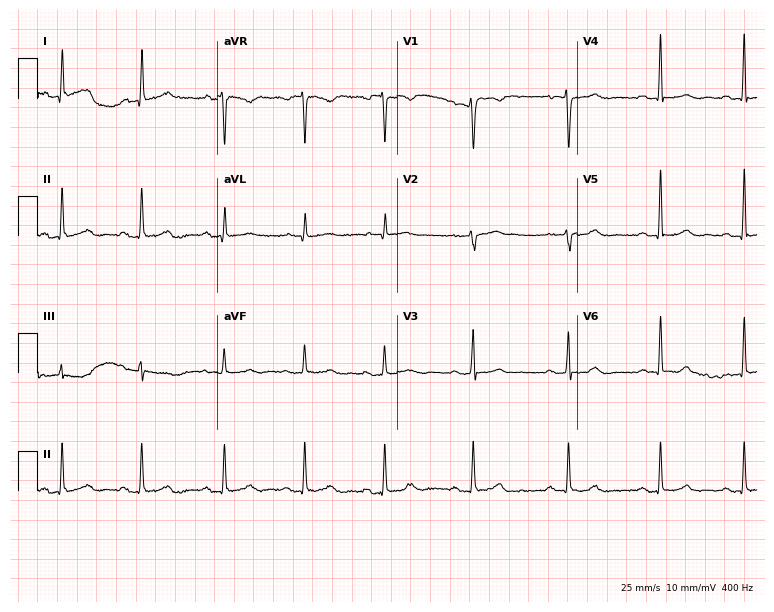
12-lead ECG from a 43-year-old female patient. No first-degree AV block, right bundle branch block (RBBB), left bundle branch block (LBBB), sinus bradycardia, atrial fibrillation (AF) or sinus tachycardia recorded for this tracing.